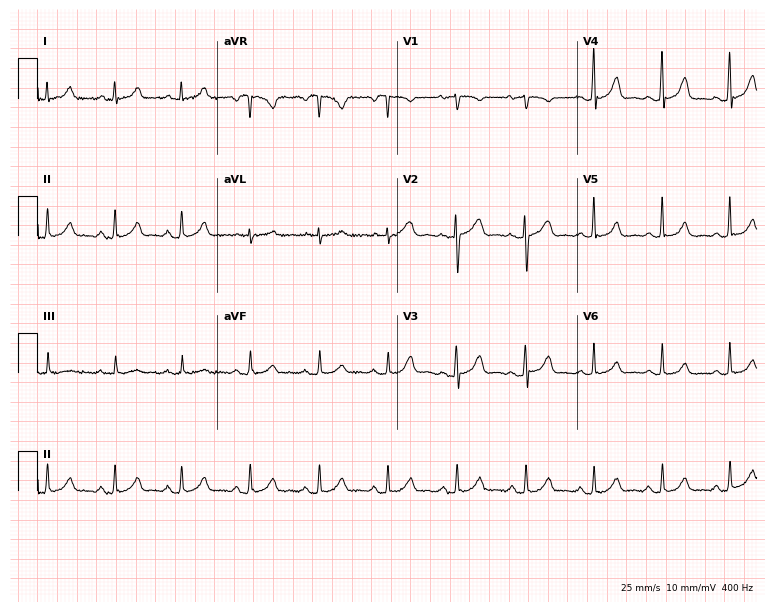
Standard 12-lead ECG recorded from a 48-year-old female (7.3-second recording at 400 Hz). Read as a normal ECG.